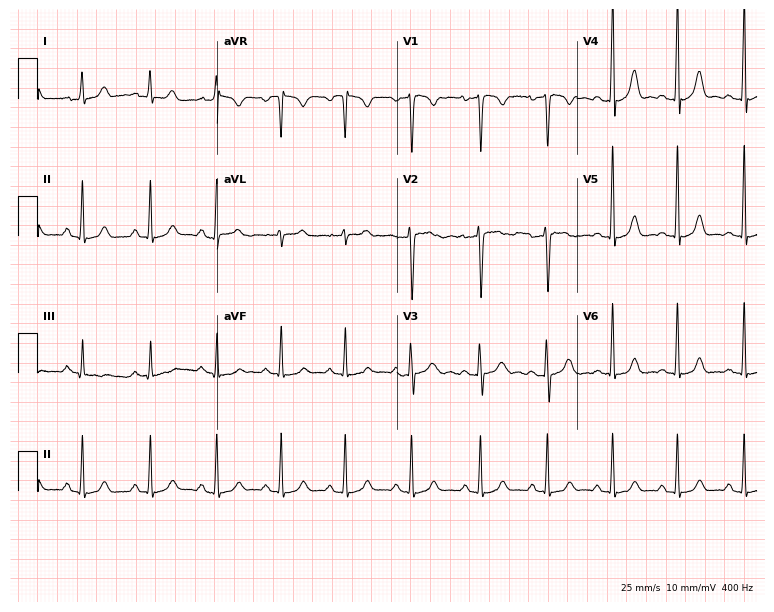
Resting 12-lead electrocardiogram. Patient: a female, 20 years old. Read as a normal ECG.